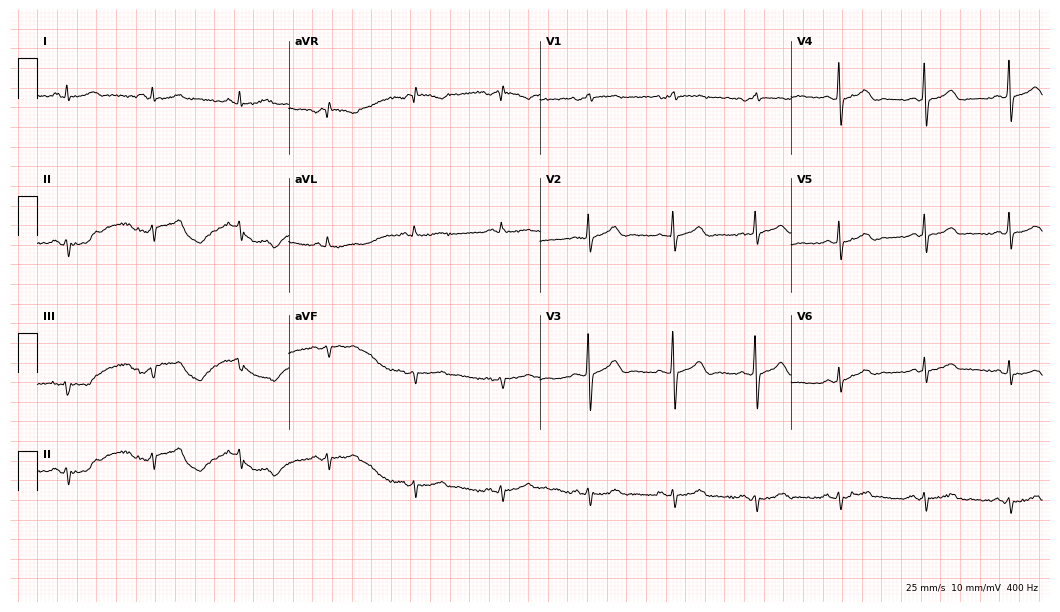
12-lead ECG from a male, 83 years old (10.2-second recording at 400 Hz). No first-degree AV block, right bundle branch block, left bundle branch block, sinus bradycardia, atrial fibrillation or sinus tachycardia recorded for this tracing. Findings outside these six are not listed.